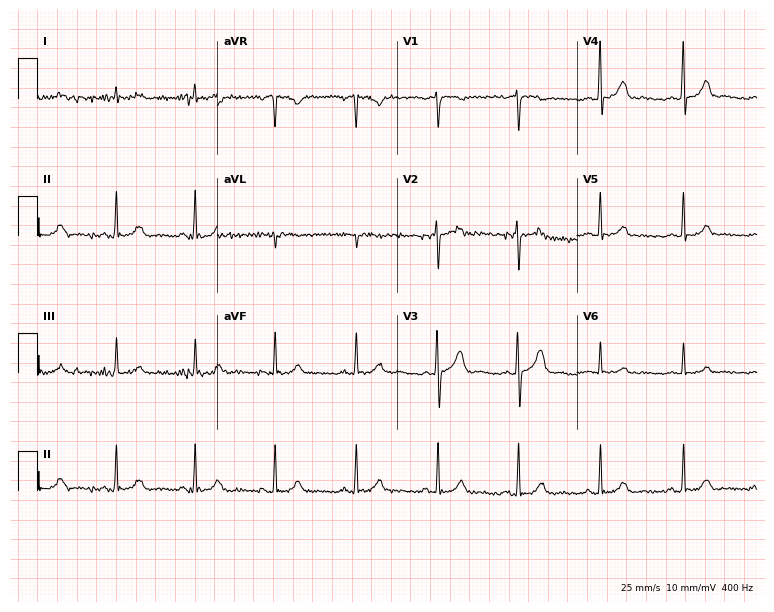
12-lead ECG from a 31-year-old female patient (7.3-second recording at 400 Hz). No first-degree AV block, right bundle branch block (RBBB), left bundle branch block (LBBB), sinus bradycardia, atrial fibrillation (AF) or sinus tachycardia recorded for this tracing.